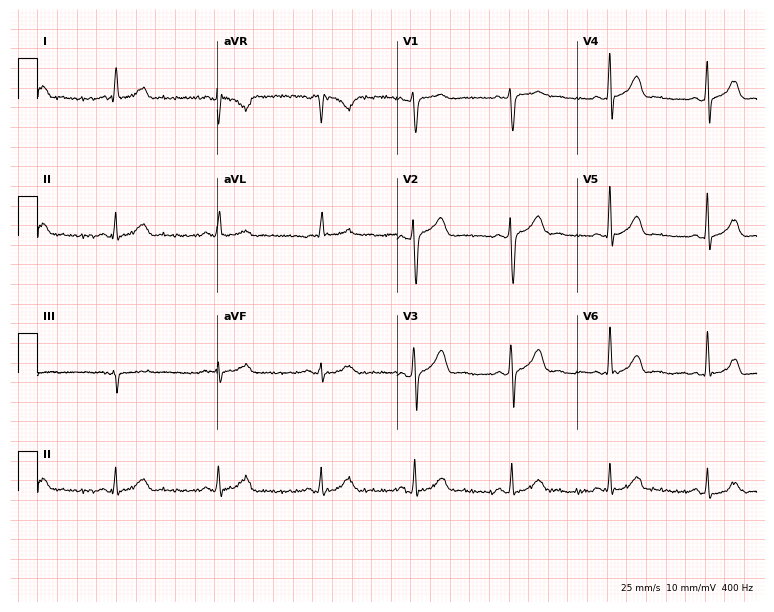
Electrocardiogram (7.3-second recording at 400 Hz), a 55-year-old female patient. Overall reading on record: normal ECG.